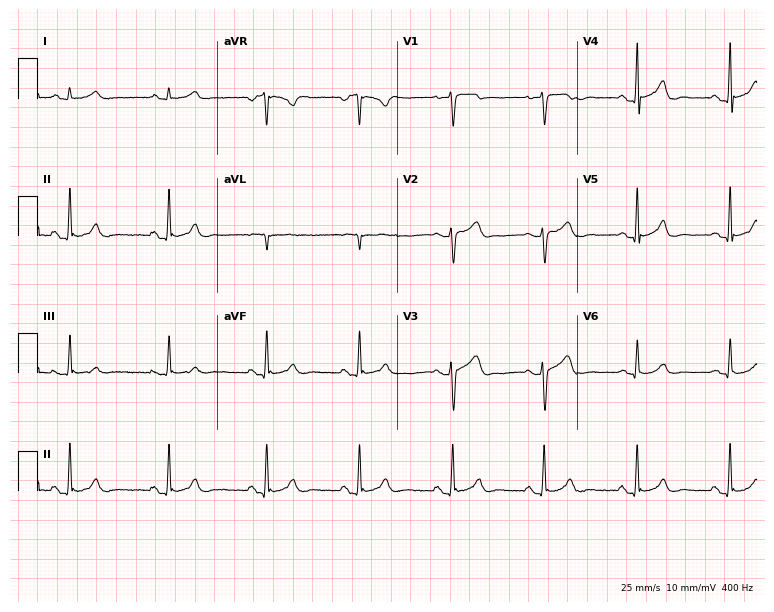
Resting 12-lead electrocardiogram (7.3-second recording at 400 Hz). Patient: a male, 40 years old. Read as a normal ECG.